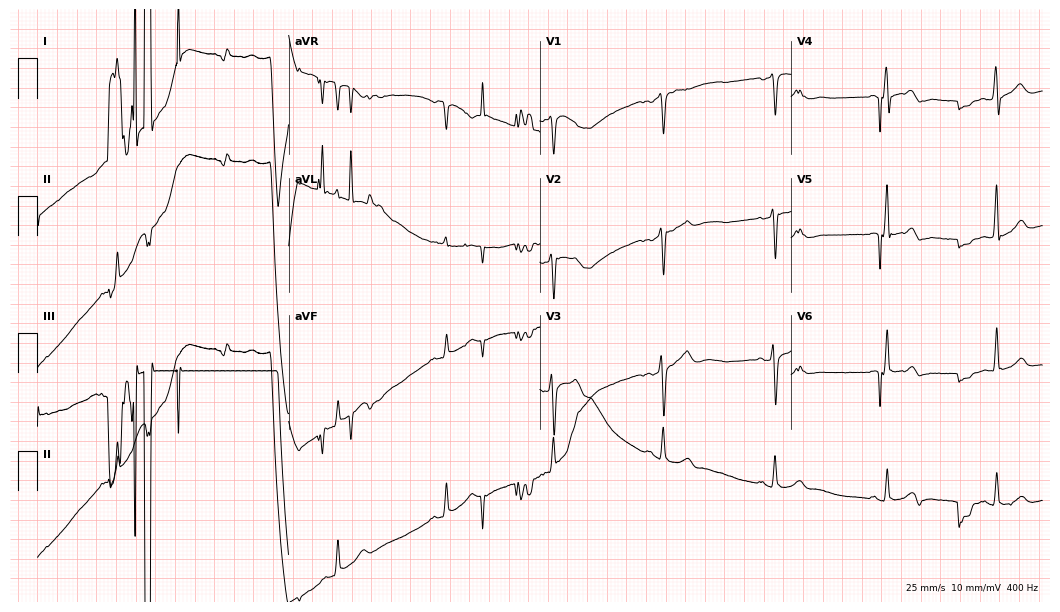
Standard 12-lead ECG recorded from a male patient, 59 years old. Read as a normal ECG.